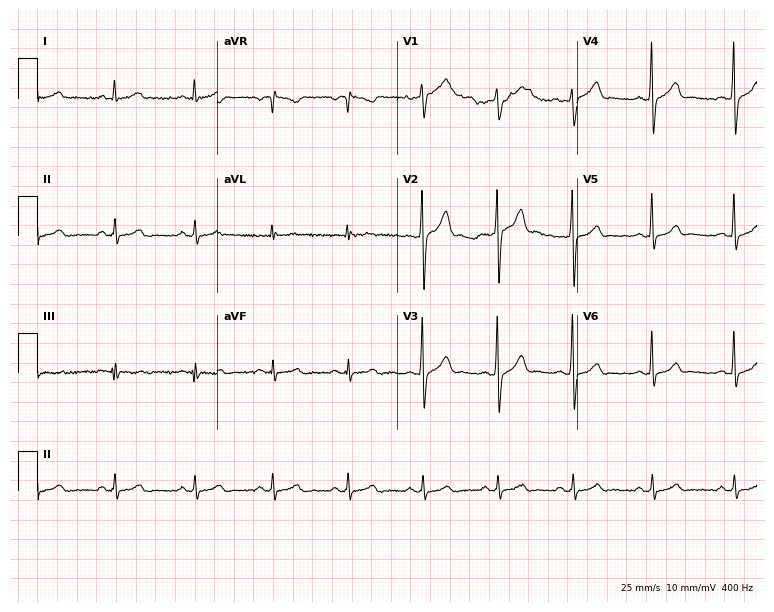
12-lead ECG from a 37-year-old male patient. Labelled as a normal ECG.